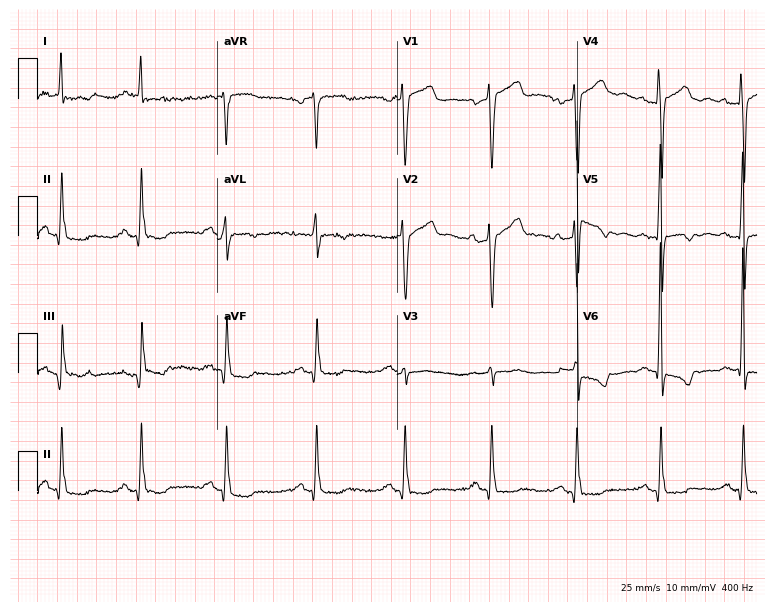
Standard 12-lead ECG recorded from a man, 76 years old (7.3-second recording at 400 Hz). None of these six findings is recorded: first-degree AV block, right bundle branch block (RBBB), left bundle branch block (LBBB), sinus bradycardia, atrial fibrillation (AF), sinus tachycardia.